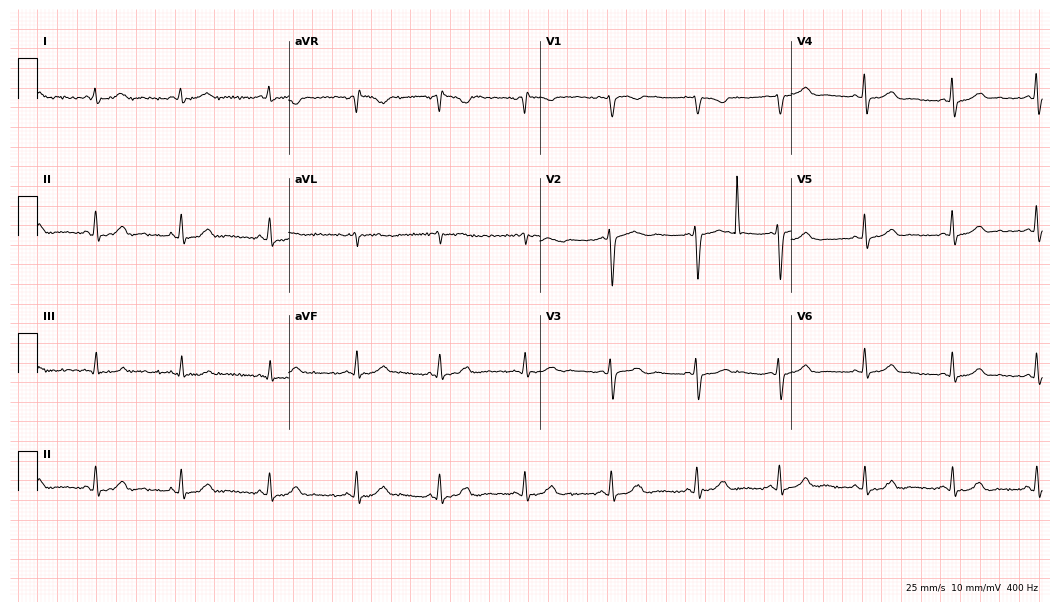
Electrocardiogram, a female, 46 years old. Of the six screened findings (first-degree AV block, right bundle branch block, left bundle branch block, sinus bradycardia, atrial fibrillation, sinus tachycardia), none is recorded.